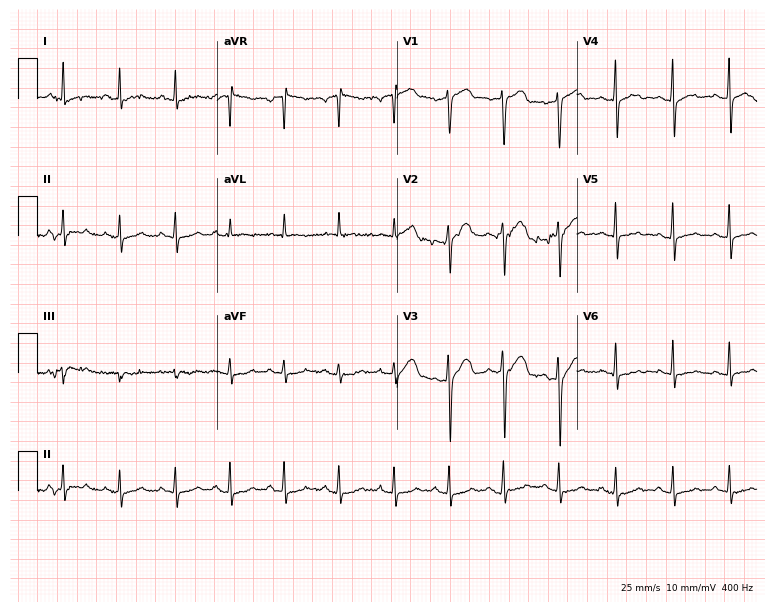
12-lead ECG from a male, 26 years old. Findings include sinus tachycardia (a sinus rate of 100 beats per minute or more).